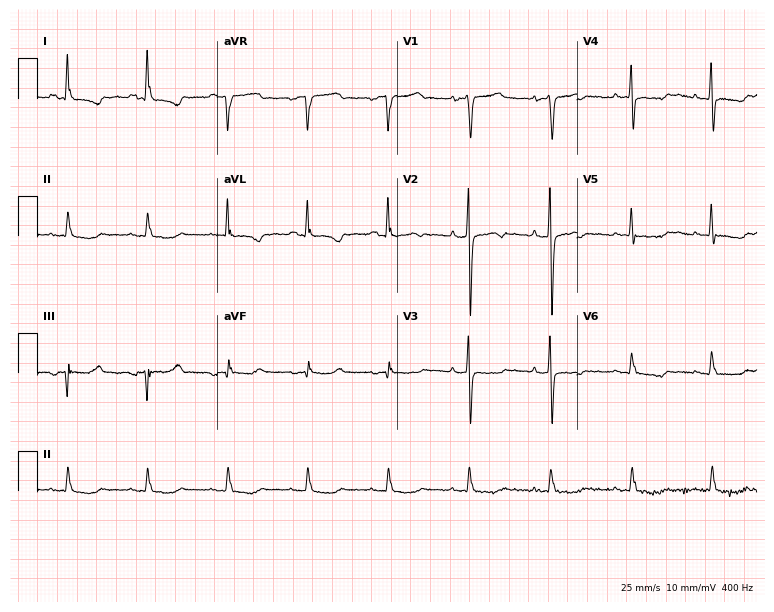
12-lead ECG from a 61-year-old female (7.3-second recording at 400 Hz). No first-degree AV block, right bundle branch block, left bundle branch block, sinus bradycardia, atrial fibrillation or sinus tachycardia recorded for this tracing. Only these six findings were labelled.